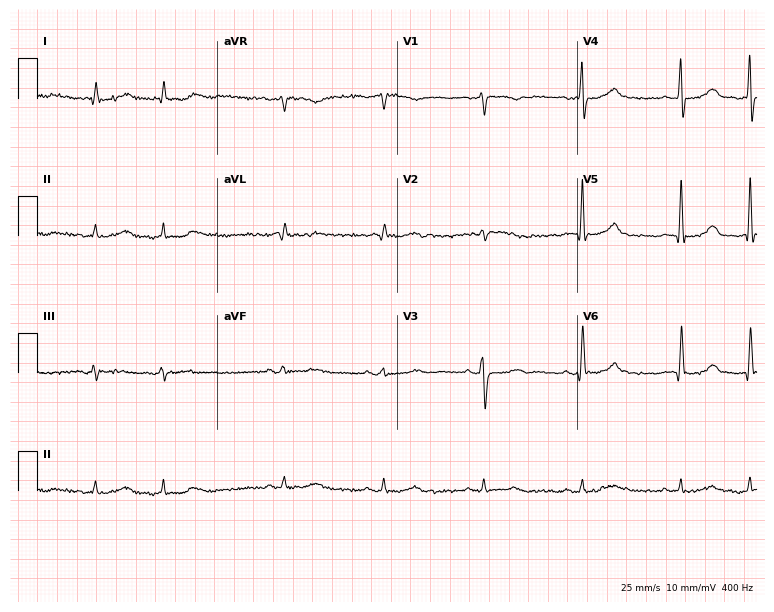
ECG — a woman, 84 years old. Labelled as a normal ECG.